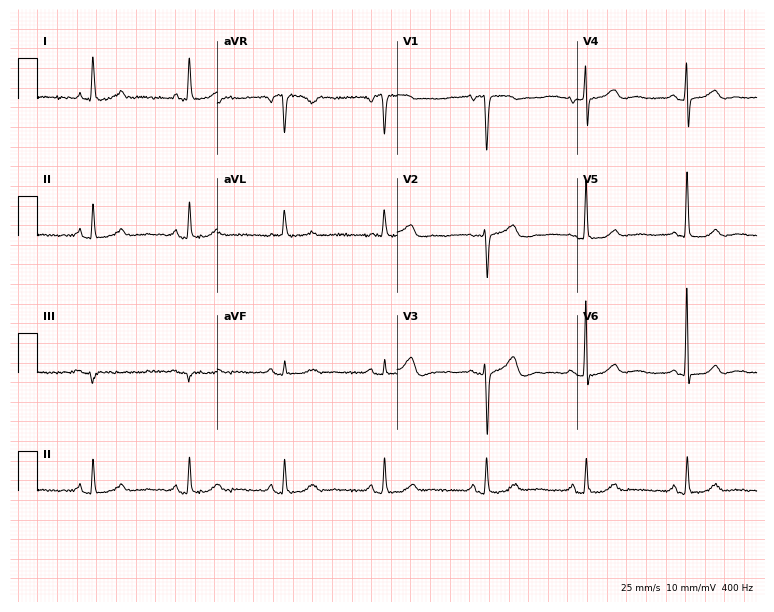
Resting 12-lead electrocardiogram. Patient: a woman, 75 years old. Read as a normal ECG.